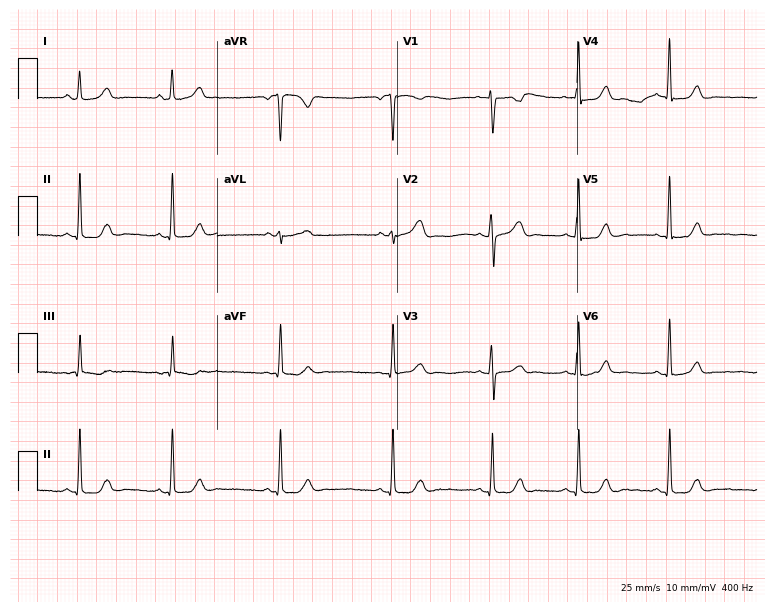
Standard 12-lead ECG recorded from a female patient, 22 years old. None of these six findings is recorded: first-degree AV block, right bundle branch block, left bundle branch block, sinus bradycardia, atrial fibrillation, sinus tachycardia.